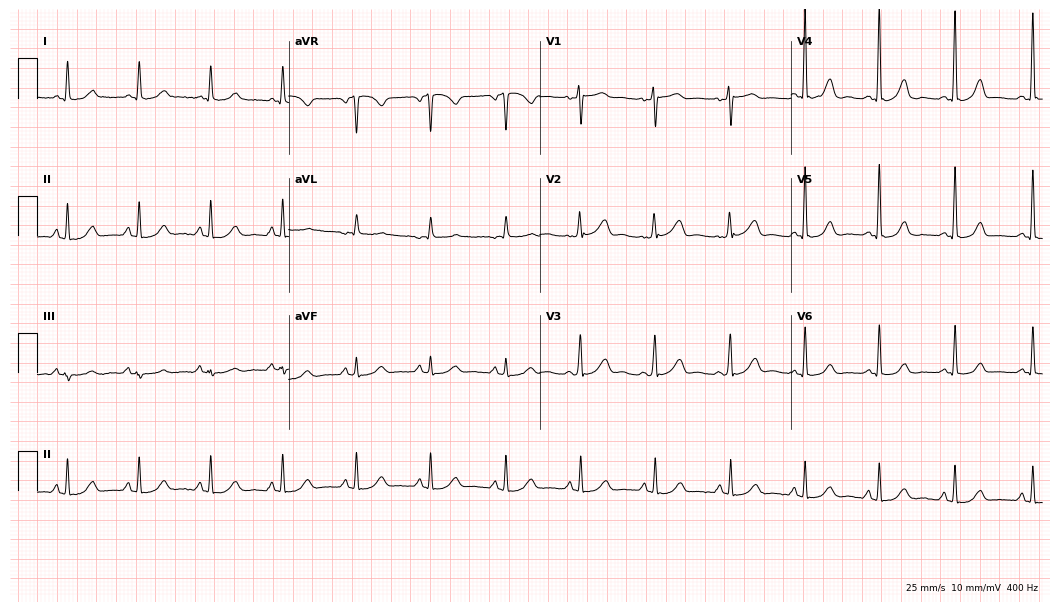
Standard 12-lead ECG recorded from a female, 51 years old (10.2-second recording at 400 Hz). Read as a normal ECG.